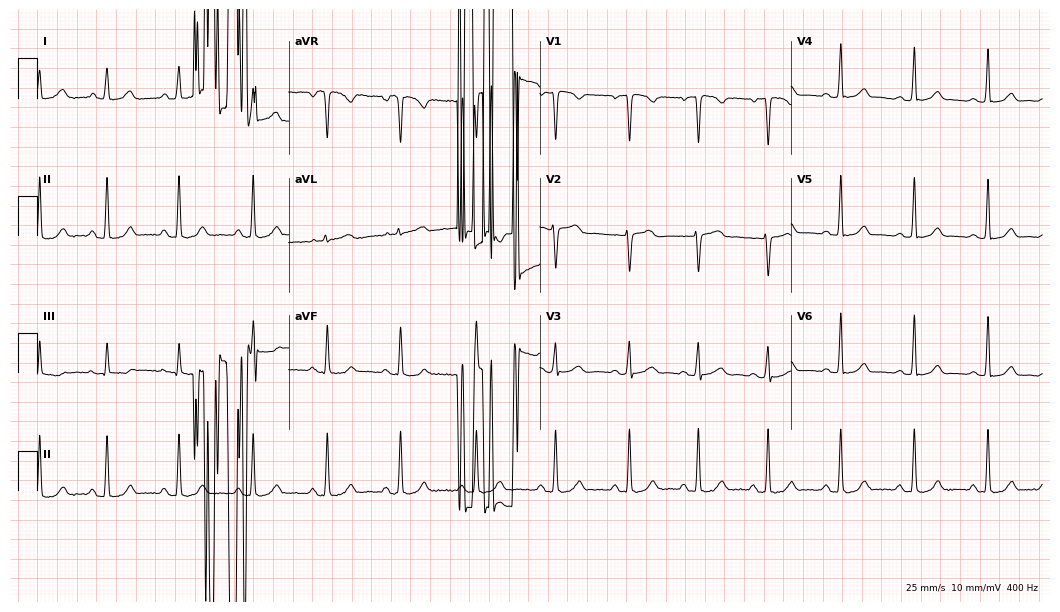
12-lead ECG from a woman, 20 years old (10.2-second recording at 400 Hz). No first-degree AV block, right bundle branch block (RBBB), left bundle branch block (LBBB), sinus bradycardia, atrial fibrillation (AF) or sinus tachycardia recorded for this tracing. Findings outside these six are not listed.